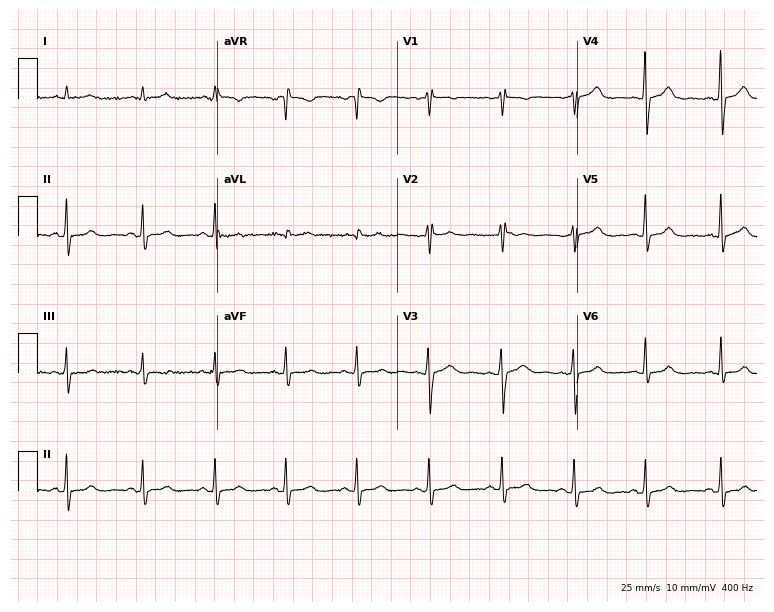
Standard 12-lead ECG recorded from a 34-year-old woman. None of these six findings is recorded: first-degree AV block, right bundle branch block, left bundle branch block, sinus bradycardia, atrial fibrillation, sinus tachycardia. Only these six findings were labelled.